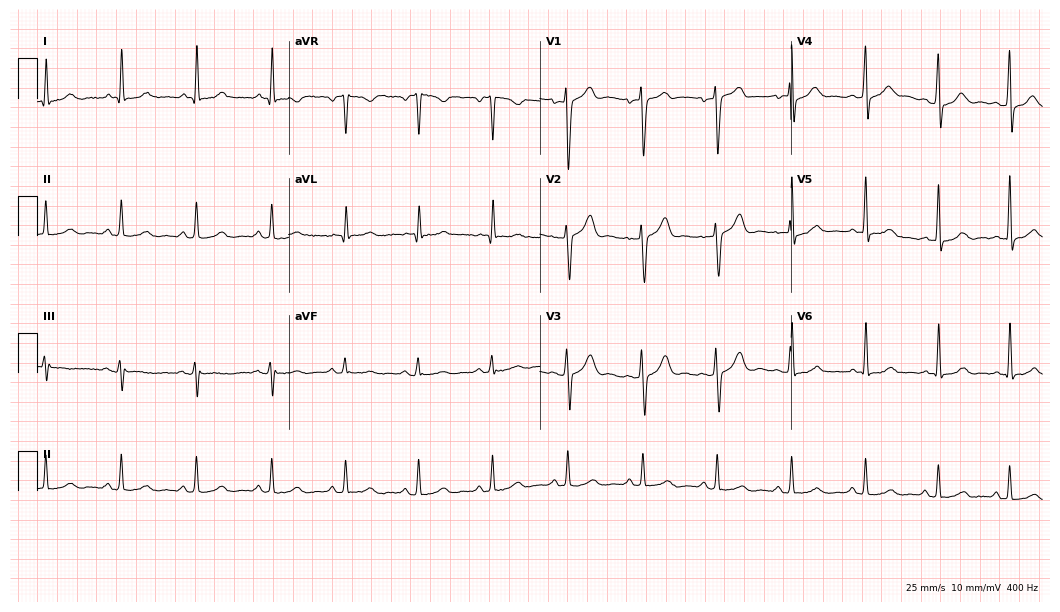
Standard 12-lead ECG recorded from a male patient, 43 years old. Read as a normal ECG.